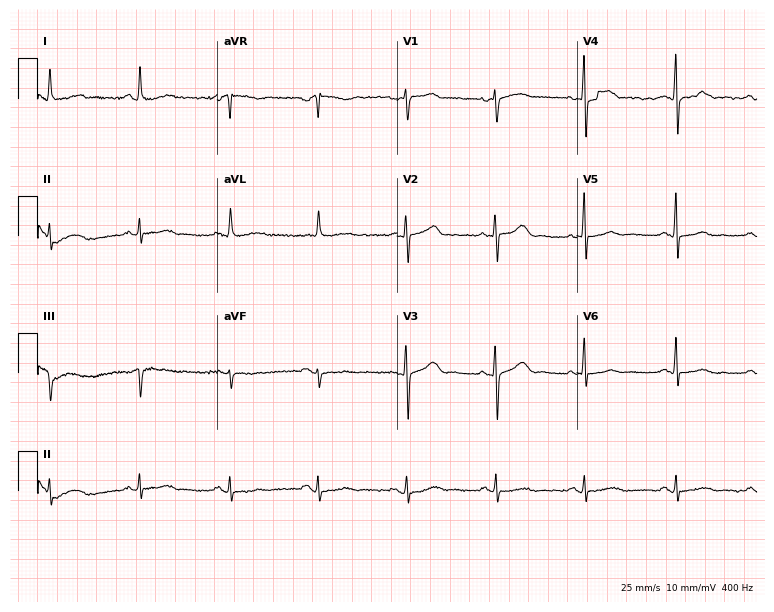
Resting 12-lead electrocardiogram (7.3-second recording at 400 Hz). Patient: a 56-year-old woman. Read as a normal ECG.